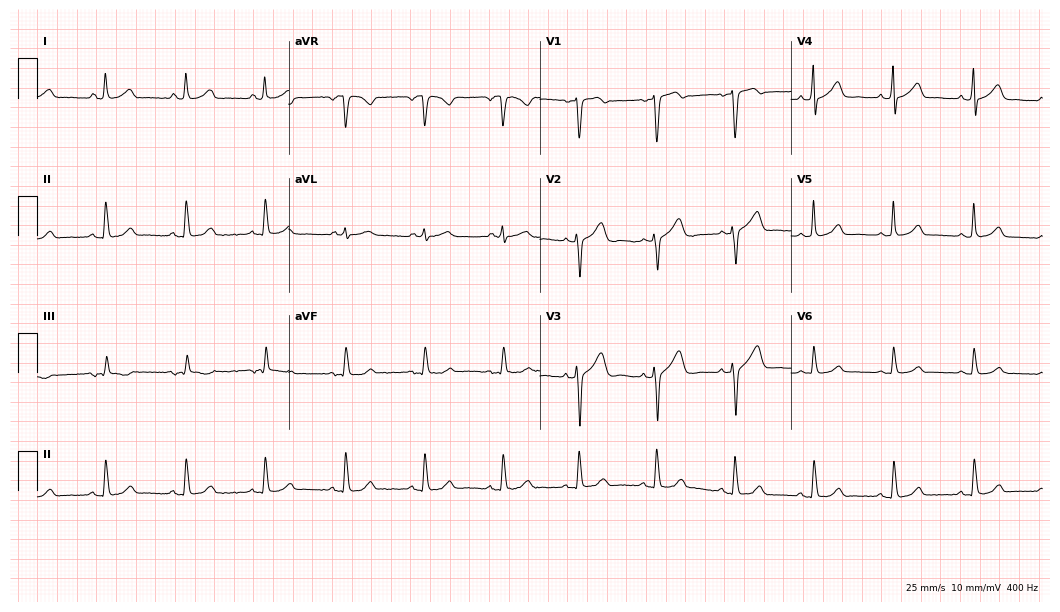
Standard 12-lead ECG recorded from a 58-year-old female patient (10.2-second recording at 400 Hz). Read as a normal ECG.